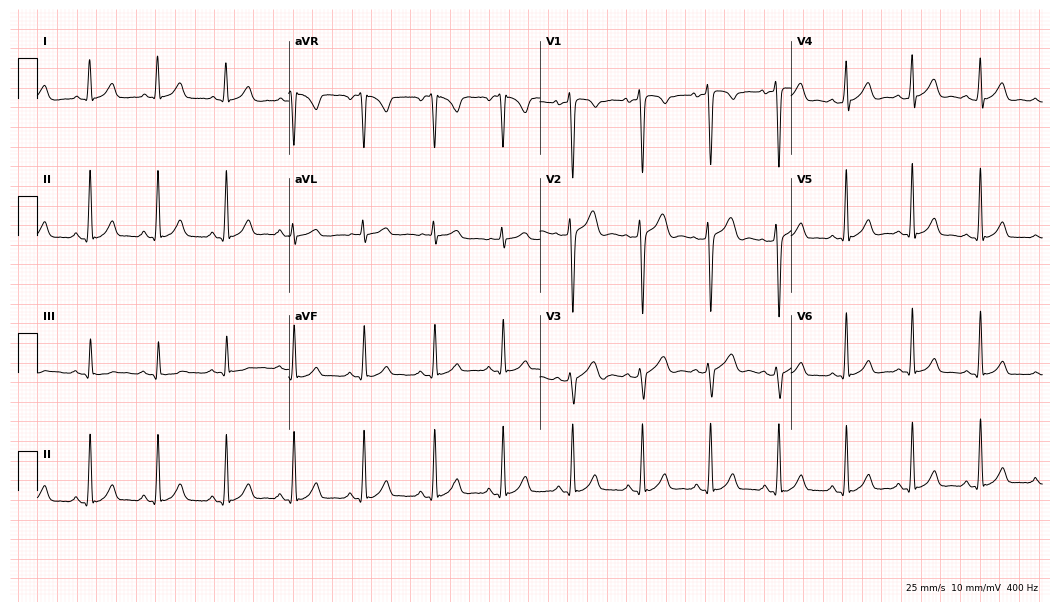
Standard 12-lead ECG recorded from a 30-year-old male. Read as a normal ECG.